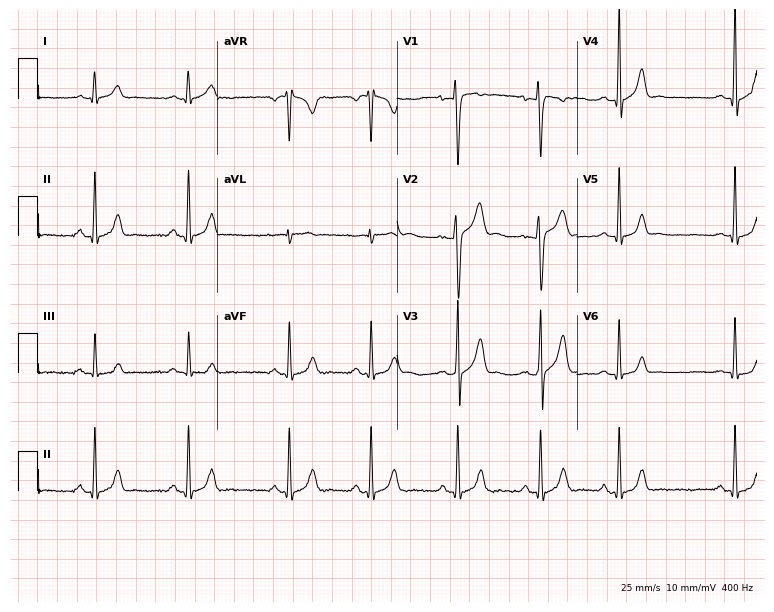
Electrocardiogram, a 21-year-old man. Of the six screened findings (first-degree AV block, right bundle branch block, left bundle branch block, sinus bradycardia, atrial fibrillation, sinus tachycardia), none is recorded. Only these six findings were labelled.